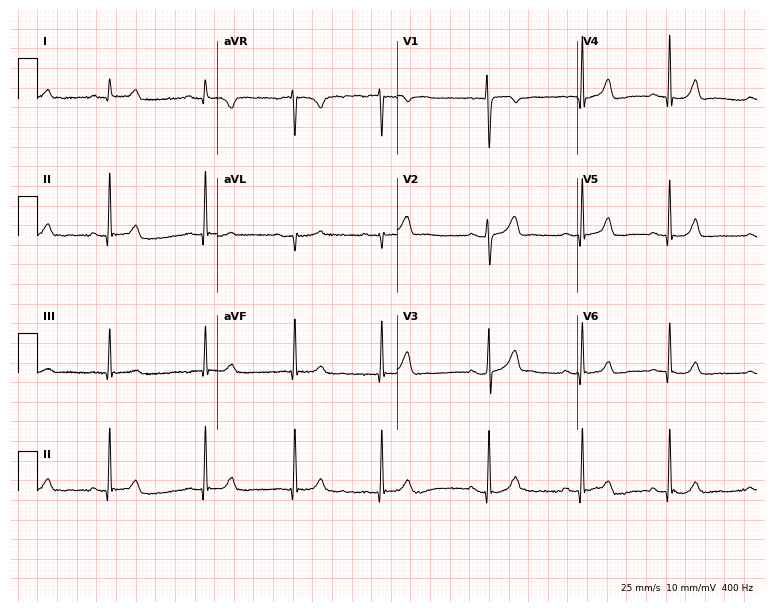
Resting 12-lead electrocardiogram (7.3-second recording at 400 Hz). Patient: a woman, 23 years old. Read as a normal ECG.